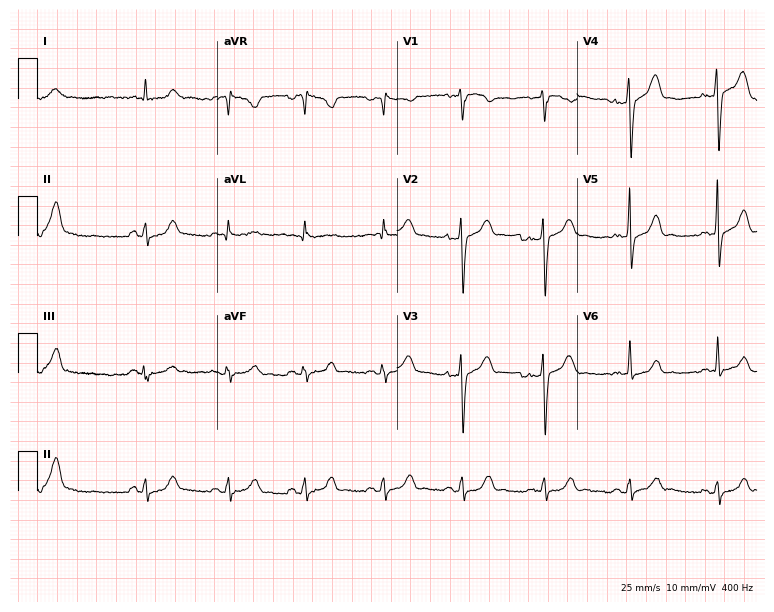
Resting 12-lead electrocardiogram. Patient: a male, 51 years old. None of these six findings is recorded: first-degree AV block, right bundle branch block, left bundle branch block, sinus bradycardia, atrial fibrillation, sinus tachycardia.